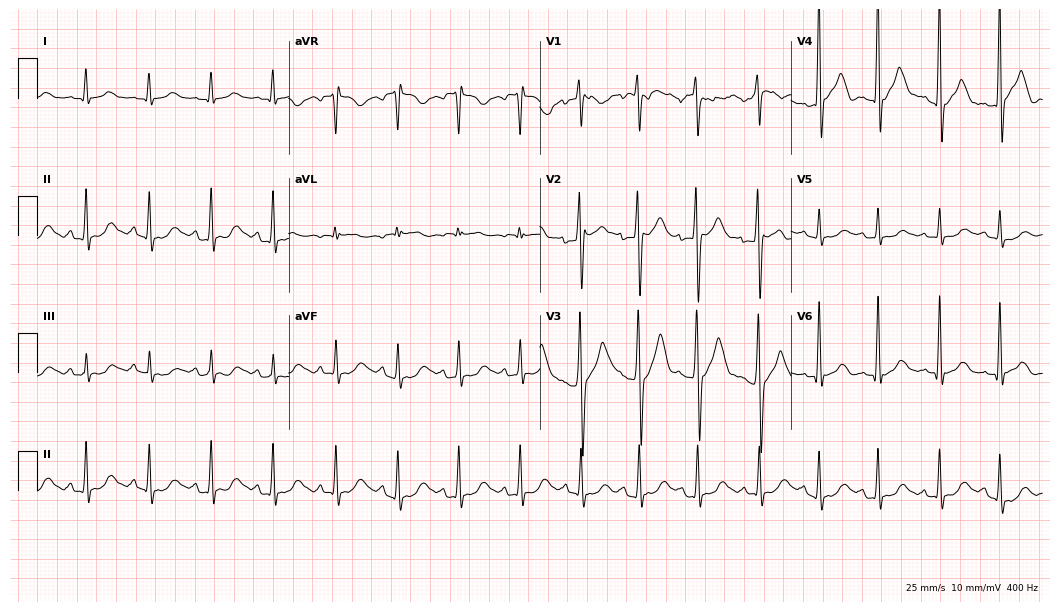
12-lead ECG from a man, 28 years old (10.2-second recording at 400 Hz). Recorded interpretation: within normal limits.